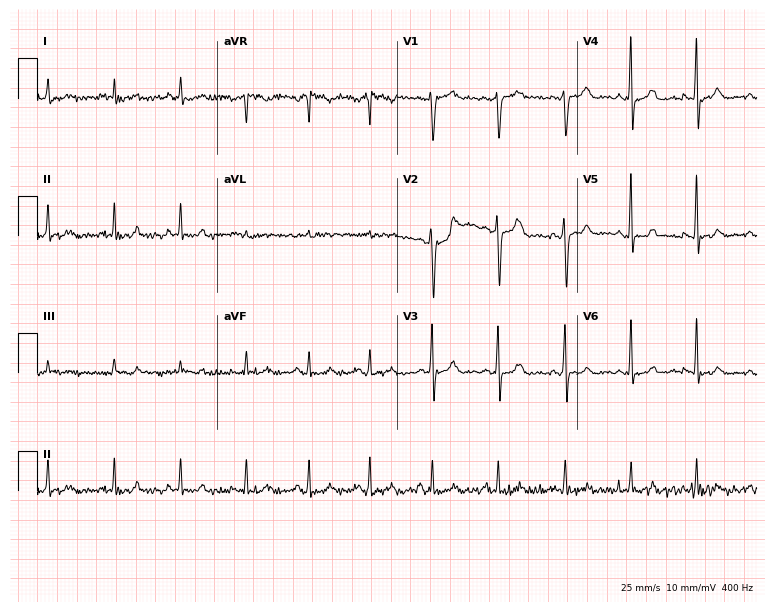
Electrocardiogram (7.3-second recording at 400 Hz), a 30-year-old female. Overall reading on record: normal ECG.